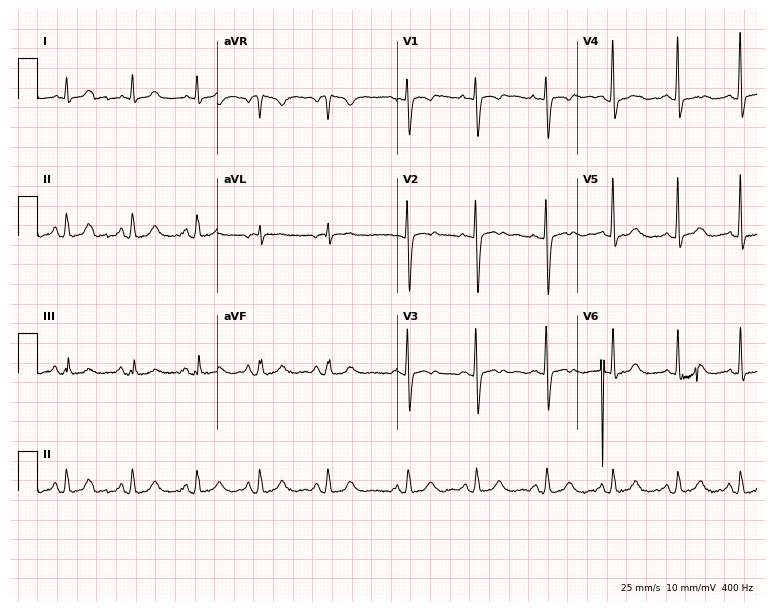
Electrocardiogram (7.3-second recording at 400 Hz), a female, 28 years old. Of the six screened findings (first-degree AV block, right bundle branch block (RBBB), left bundle branch block (LBBB), sinus bradycardia, atrial fibrillation (AF), sinus tachycardia), none is recorded. Other findings, if any, are not listed.